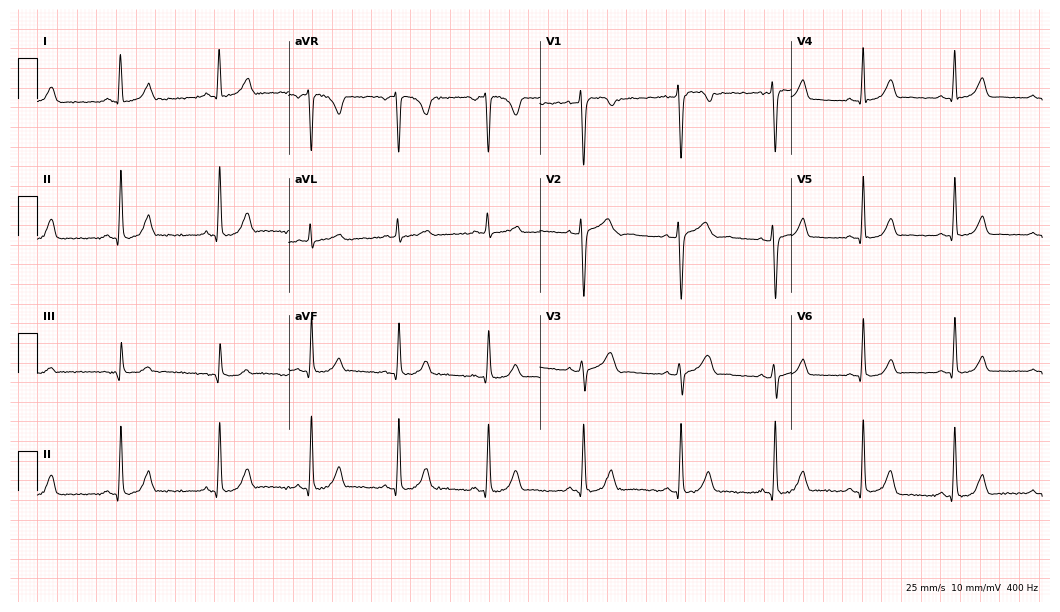
ECG (10.2-second recording at 400 Hz) — a 32-year-old woman. Screened for six findings — first-degree AV block, right bundle branch block, left bundle branch block, sinus bradycardia, atrial fibrillation, sinus tachycardia — none is recorded. Only these six findings were labelled.